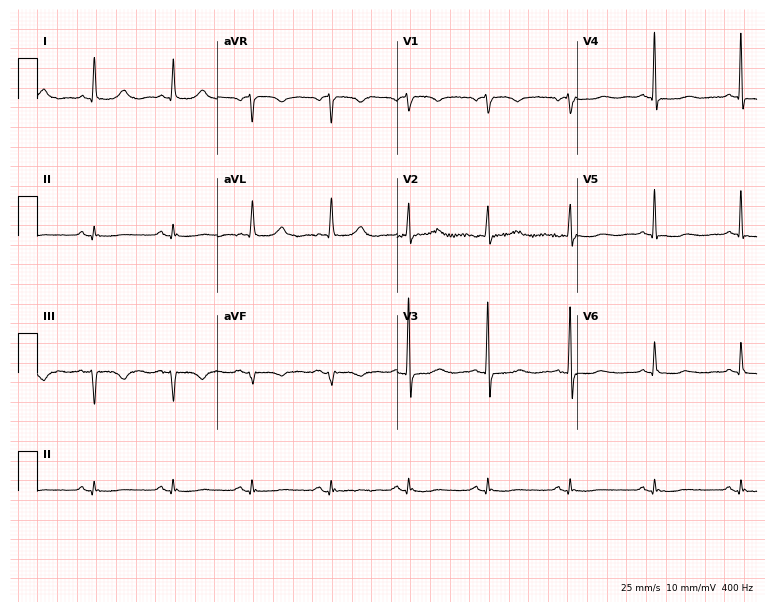
Electrocardiogram (7.3-second recording at 400 Hz), a female, 80 years old. Overall reading on record: normal ECG.